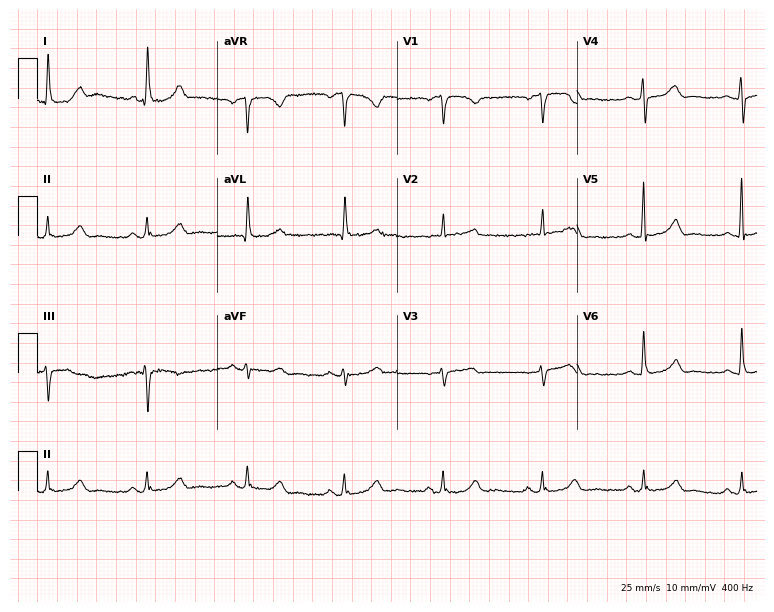
Resting 12-lead electrocardiogram. Patient: a 59-year-old female. Read as a normal ECG.